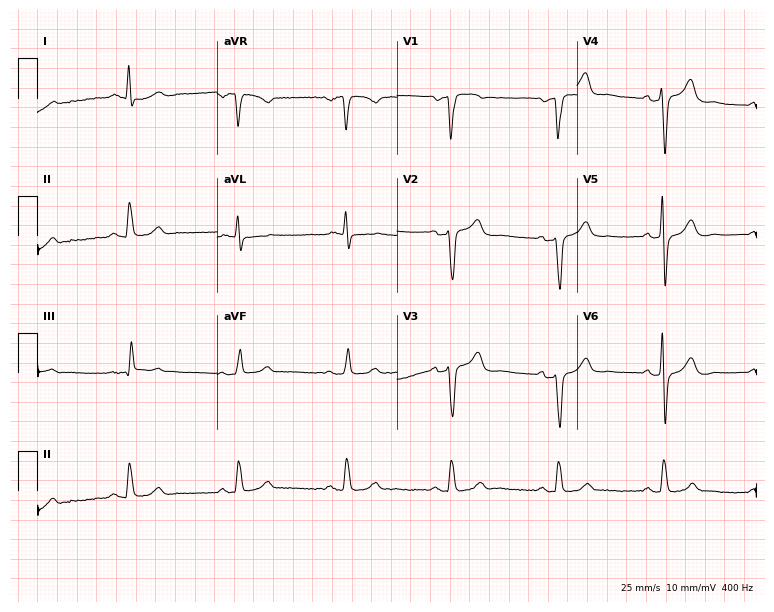
Electrocardiogram, a male patient, 77 years old. Of the six screened findings (first-degree AV block, right bundle branch block (RBBB), left bundle branch block (LBBB), sinus bradycardia, atrial fibrillation (AF), sinus tachycardia), none is recorded.